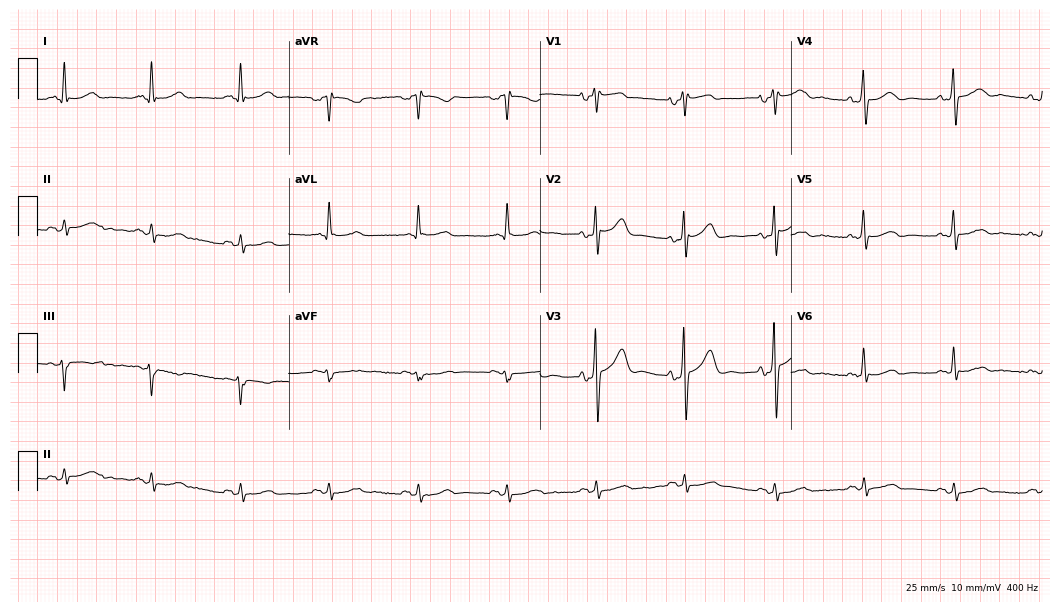
Electrocardiogram, a man, 64 years old. Overall reading on record: normal ECG.